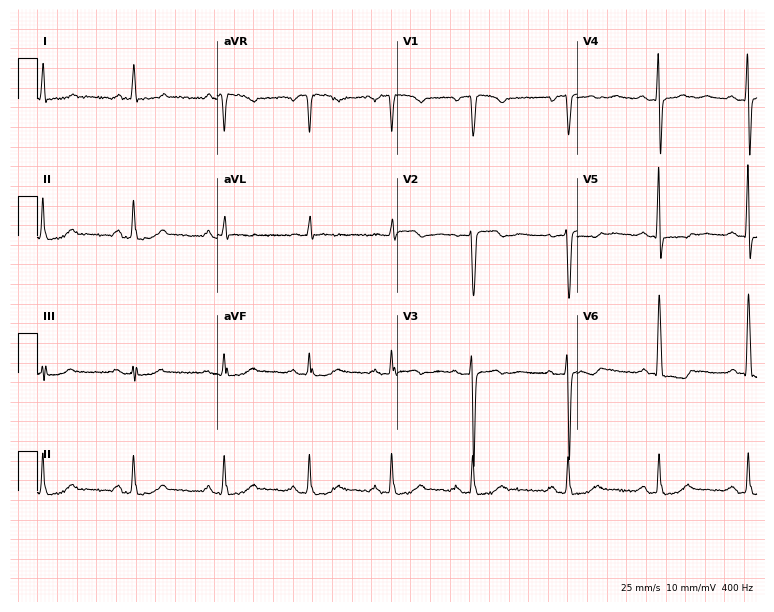
Resting 12-lead electrocardiogram (7.3-second recording at 400 Hz). Patient: a 56-year-old female. None of these six findings is recorded: first-degree AV block, right bundle branch block, left bundle branch block, sinus bradycardia, atrial fibrillation, sinus tachycardia.